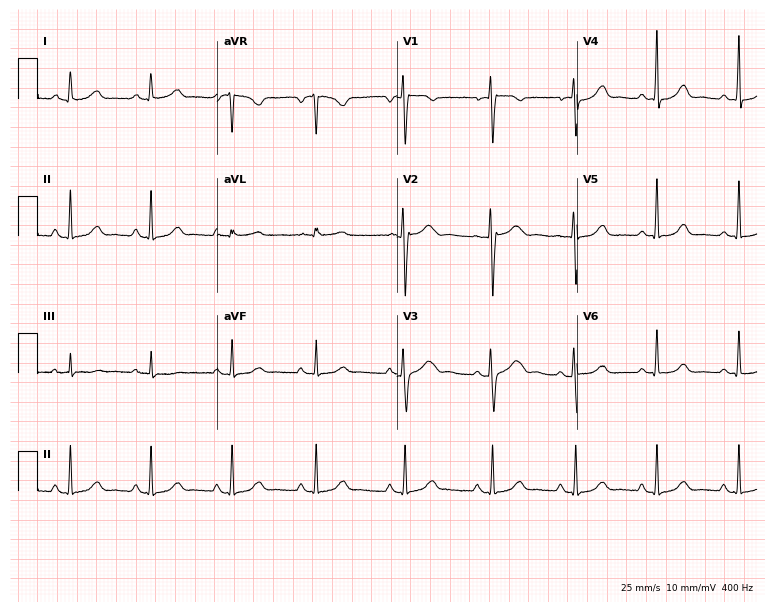
Resting 12-lead electrocardiogram. Patient: a female, 52 years old. Read as a normal ECG.